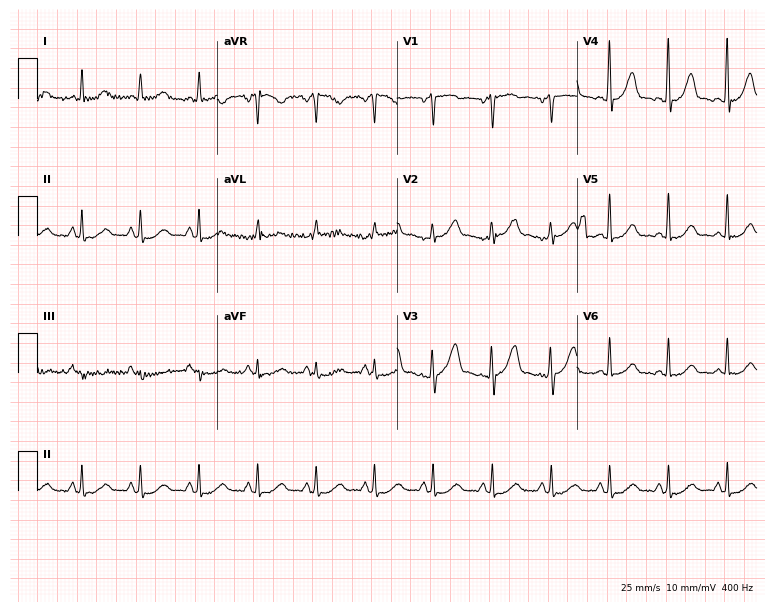
Electrocardiogram (7.3-second recording at 400 Hz), a female patient, 65 years old. Overall reading on record: normal ECG.